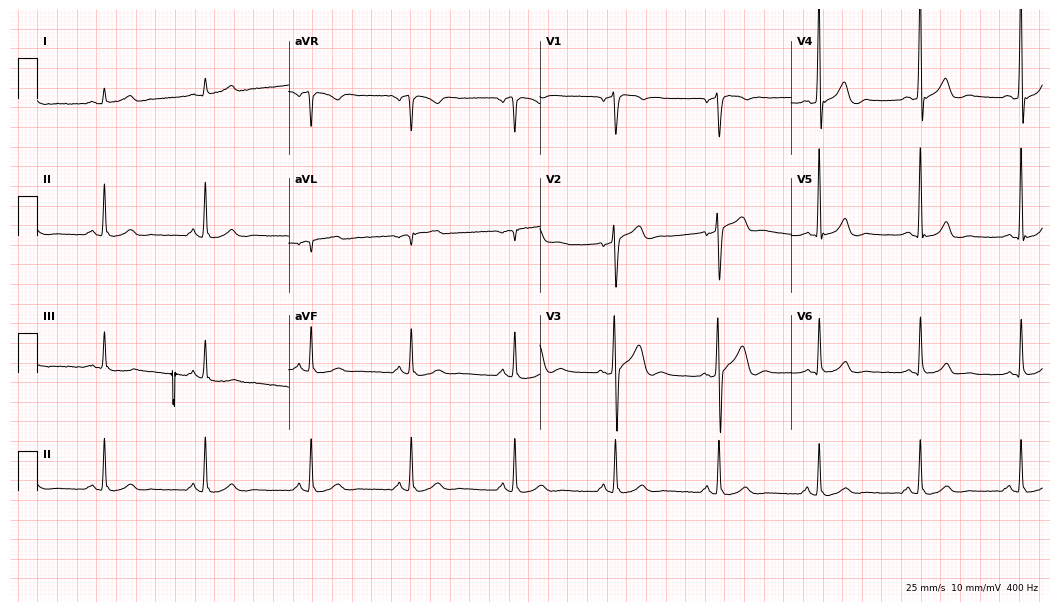
Resting 12-lead electrocardiogram (10.2-second recording at 400 Hz). Patient: a 37-year-old male. Read as a normal ECG.